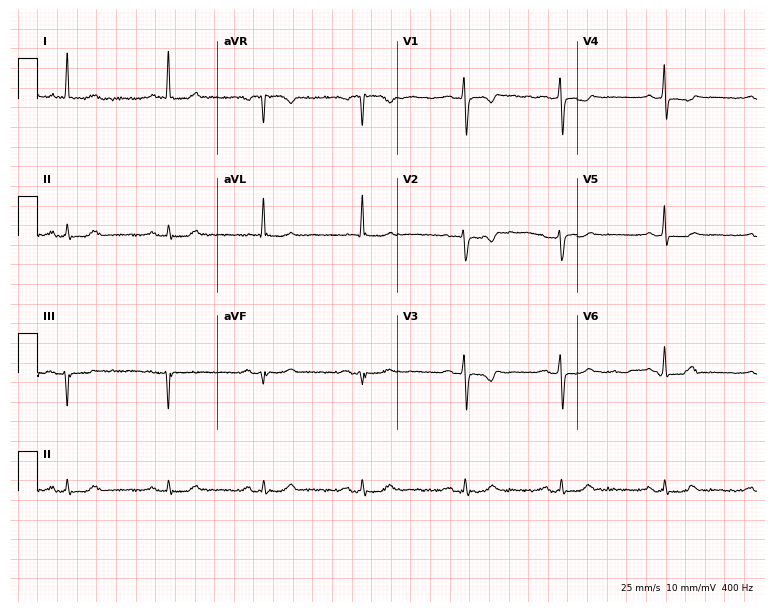
ECG — a female patient, 58 years old. Screened for six findings — first-degree AV block, right bundle branch block, left bundle branch block, sinus bradycardia, atrial fibrillation, sinus tachycardia — none is recorded. Other findings, if any, are not listed.